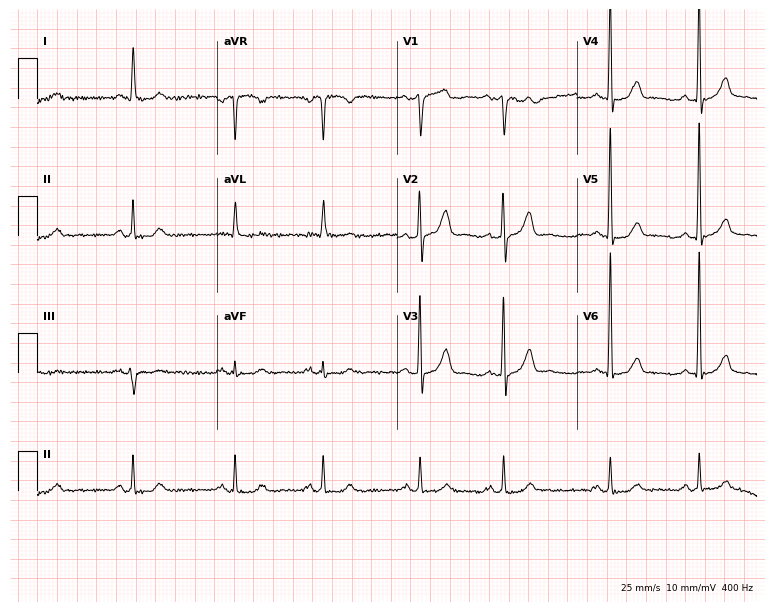
Resting 12-lead electrocardiogram (7.3-second recording at 400 Hz). Patient: an 81-year-old man. None of these six findings is recorded: first-degree AV block, right bundle branch block, left bundle branch block, sinus bradycardia, atrial fibrillation, sinus tachycardia.